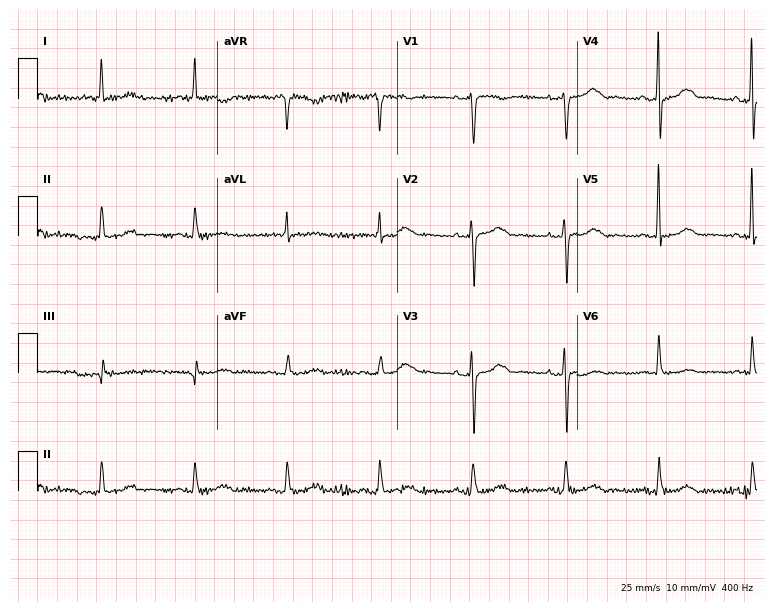
12-lead ECG from a 76-year-old female (7.3-second recording at 400 Hz). No first-degree AV block, right bundle branch block, left bundle branch block, sinus bradycardia, atrial fibrillation or sinus tachycardia recorded for this tracing. Other findings, if any, are not listed.